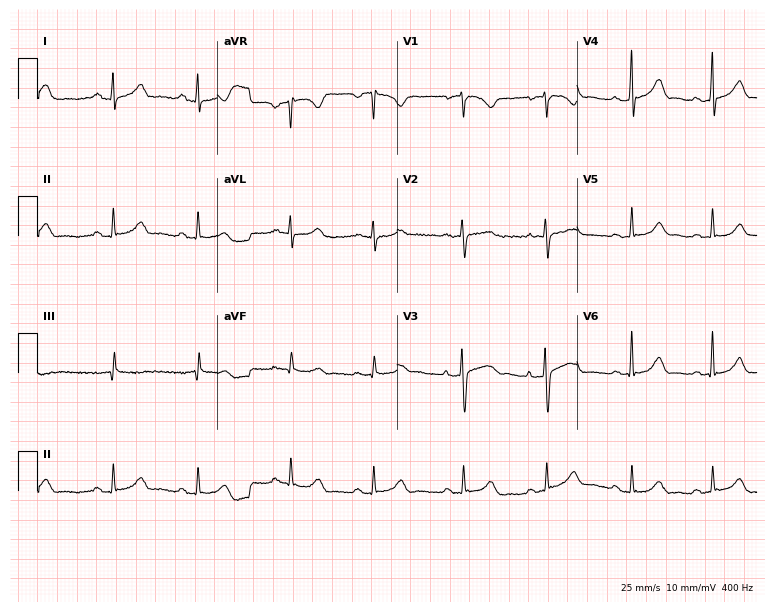
12-lead ECG (7.3-second recording at 400 Hz) from a female patient, 29 years old. Labelled as a normal ECG.